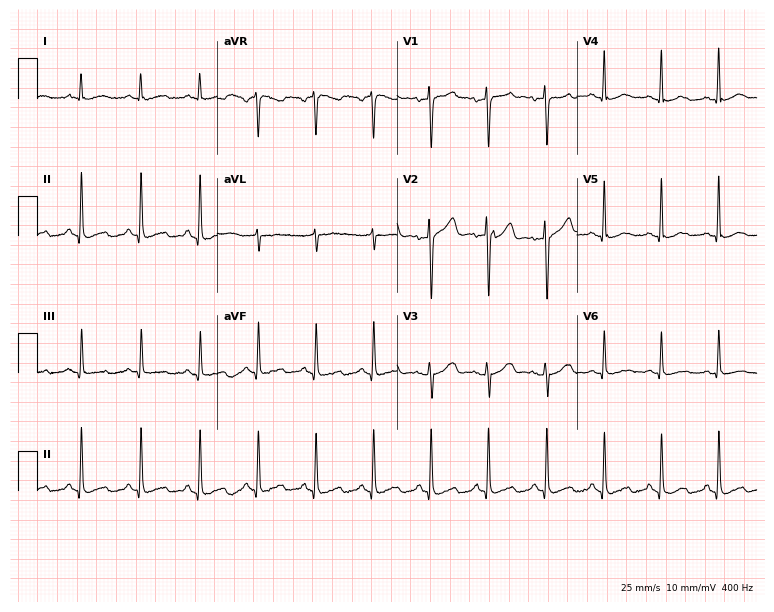
12-lead ECG from a 44-year-old female patient. Shows sinus tachycardia (a sinus rate of 100 beats per minute or more).